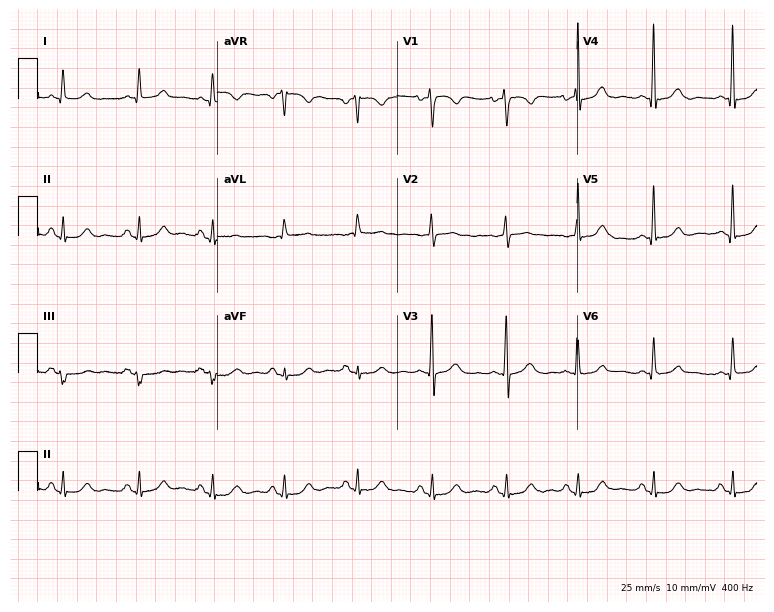
ECG — a female, 49 years old. Screened for six findings — first-degree AV block, right bundle branch block, left bundle branch block, sinus bradycardia, atrial fibrillation, sinus tachycardia — none is recorded.